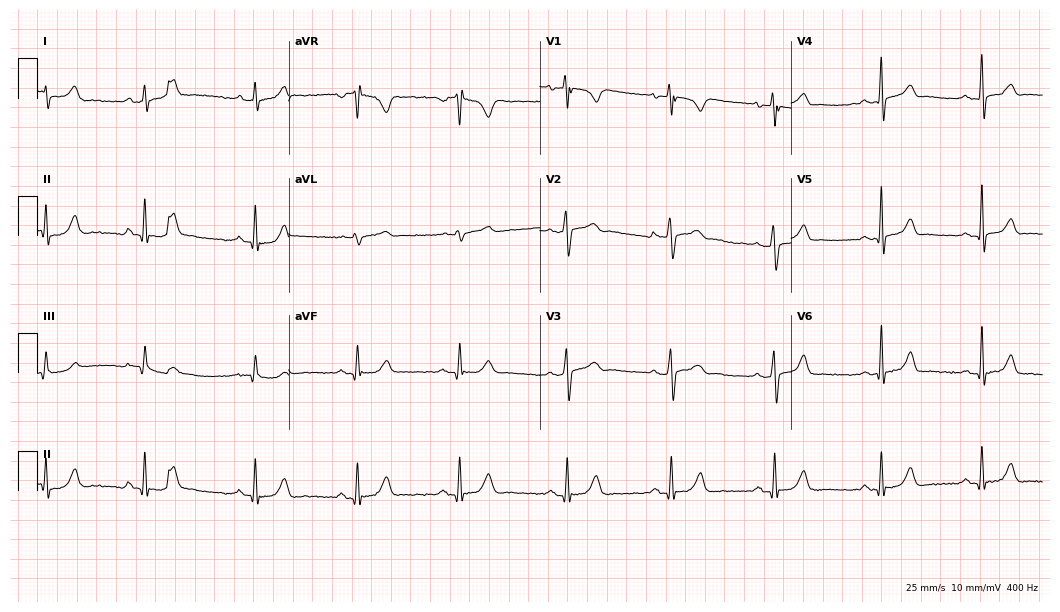
12-lead ECG from a 31-year-old male. No first-degree AV block, right bundle branch block, left bundle branch block, sinus bradycardia, atrial fibrillation or sinus tachycardia recorded for this tracing. Findings outside these six are not listed.